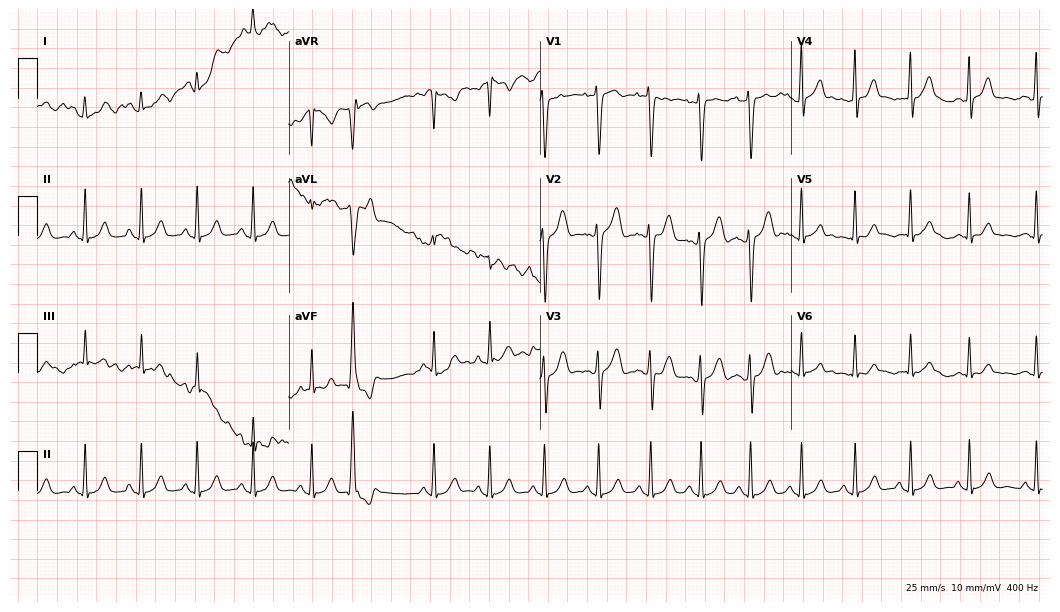
Standard 12-lead ECG recorded from a 19-year-old male (10.2-second recording at 400 Hz). The tracing shows sinus tachycardia (a sinus rate of 100 beats per minute or more).